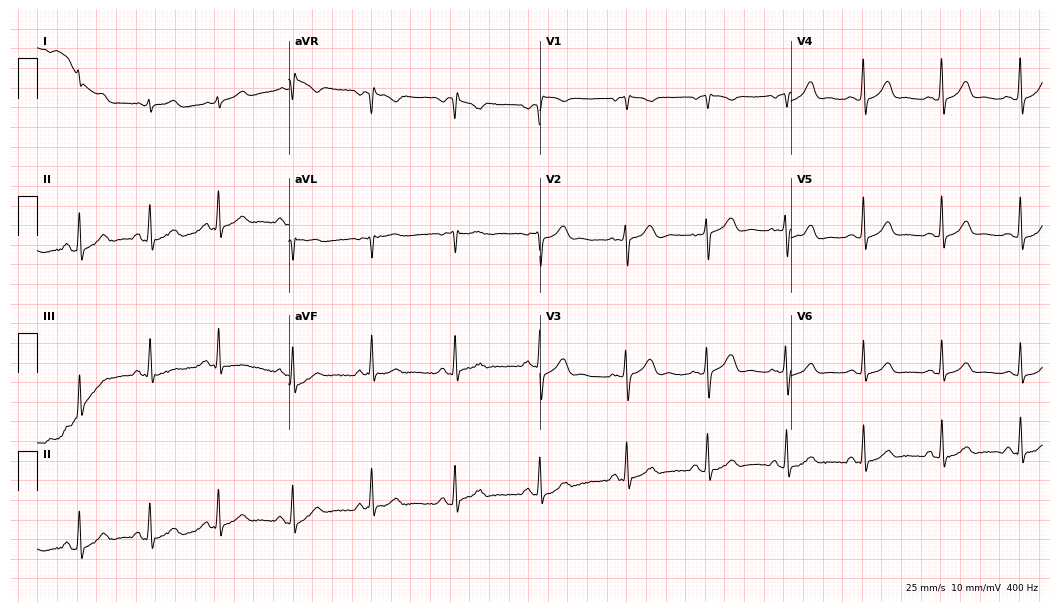
12-lead ECG from a 21-year-old female patient. Recorded interpretation: within normal limits.